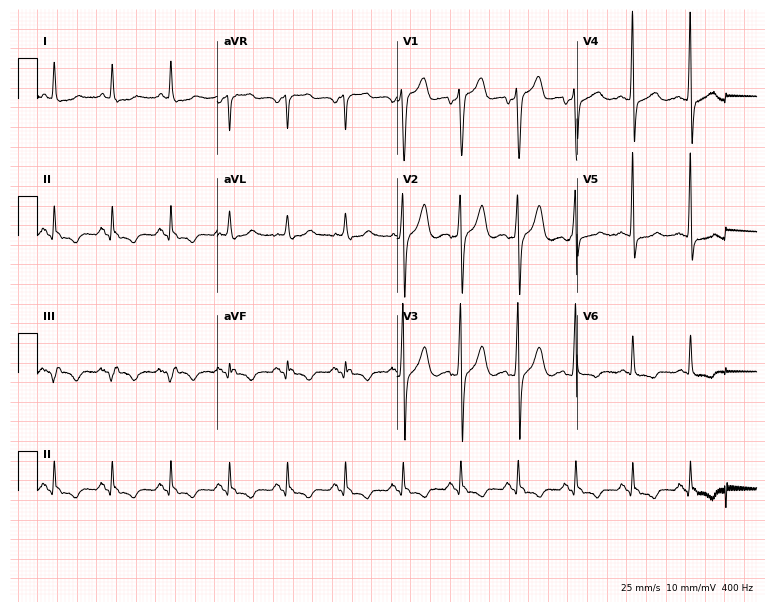
Resting 12-lead electrocardiogram. Patient: a man, 69 years old. The tracing shows sinus tachycardia (a sinus rate of 100 beats per minute or more).